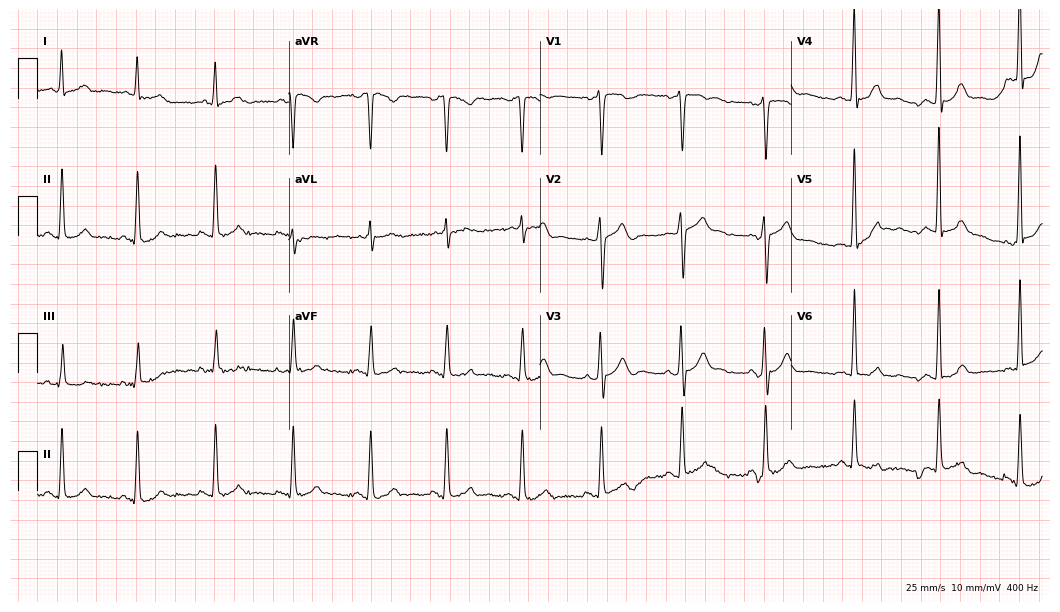
Electrocardiogram, a 42-year-old male. Overall reading on record: normal ECG.